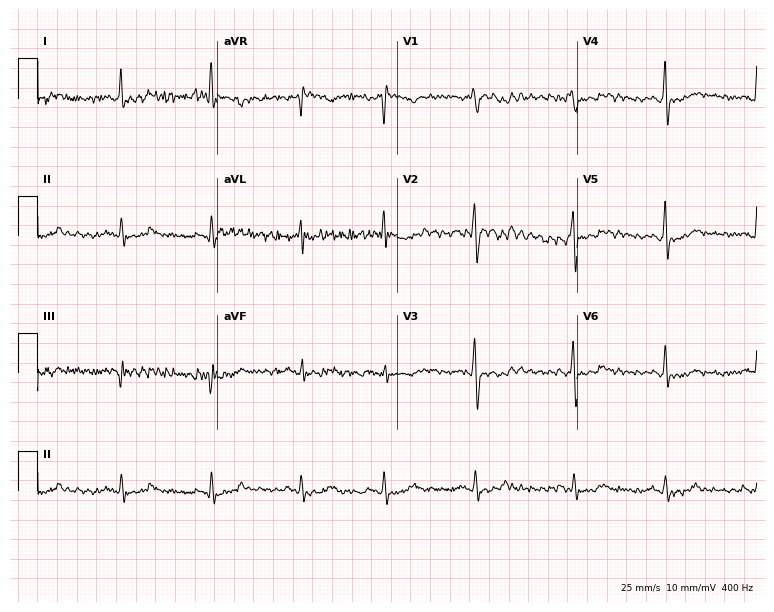
Resting 12-lead electrocardiogram. Patient: a woman, 48 years old. None of these six findings is recorded: first-degree AV block, right bundle branch block (RBBB), left bundle branch block (LBBB), sinus bradycardia, atrial fibrillation (AF), sinus tachycardia.